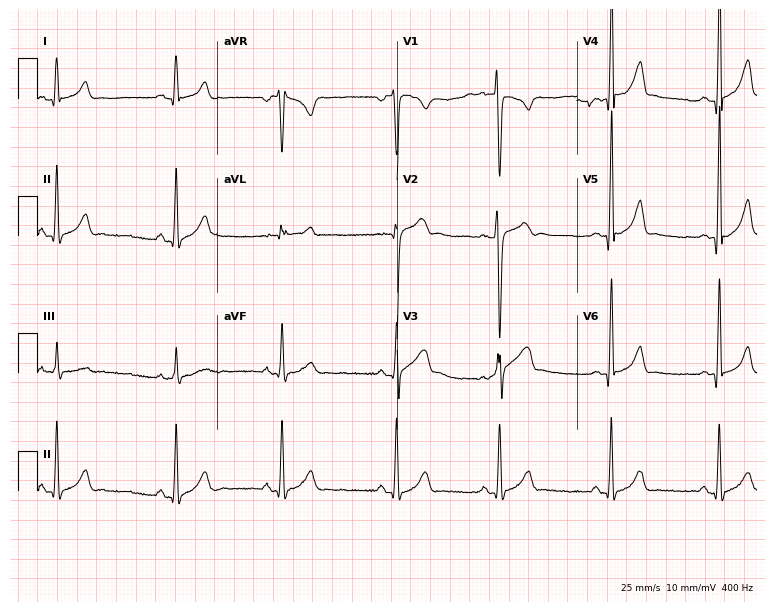
Electrocardiogram, a male, 24 years old. Overall reading on record: normal ECG.